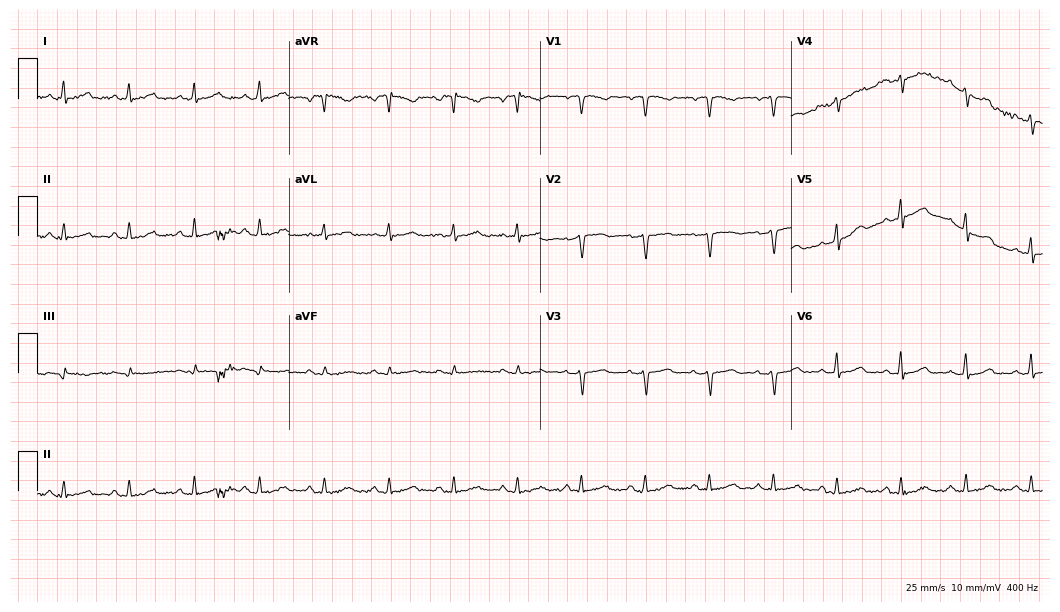
Electrocardiogram (10.2-second recording at 400 Hz), a 55-year-old female patient. Of the six screened findings (first-degree AV block, right bundle branch block, left bundle branch block, sinus bradycardia, atrial fibrillation, sinus tachycardia), none is recorded.